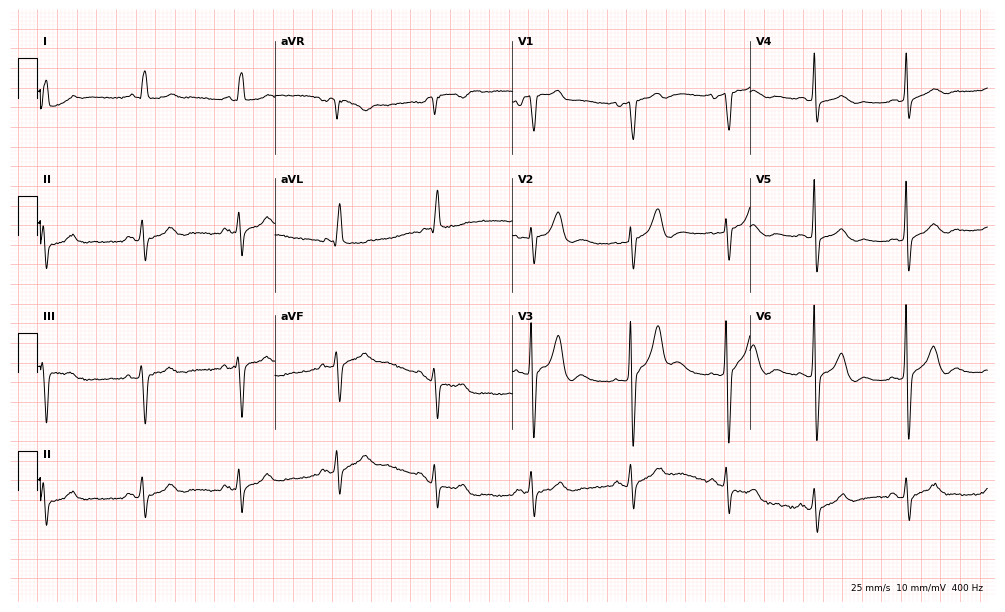
12-lead ECG (9.7-second recording at 400 Hz) from a male, 69 years old. Screened for six findings — first-degree AV block, right bundle branch block (RBBB), left bundle branch block (LBBB), sinus bradycardia, atrial fibrillation (AF), sinus tachycardia — none is recorded.